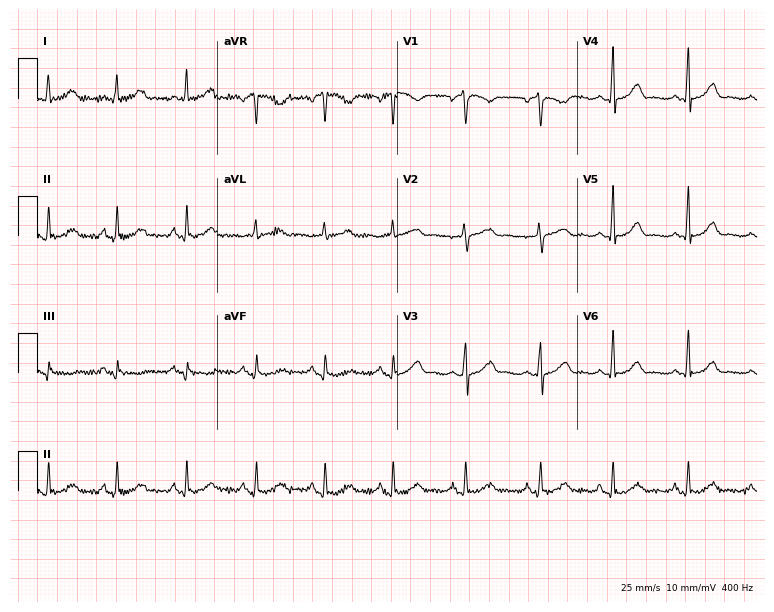
Resting 12-lead electrocardiogram. Patient: a 56-year-old female. None of these six findings is recorded: first-degree AV block, right bundle branch block (RBBB), left bundle branch block (LBBB), sinus bradycardia, atrial fibrillation (AF), sinus tachycardia. Findings outside these six are not listed.